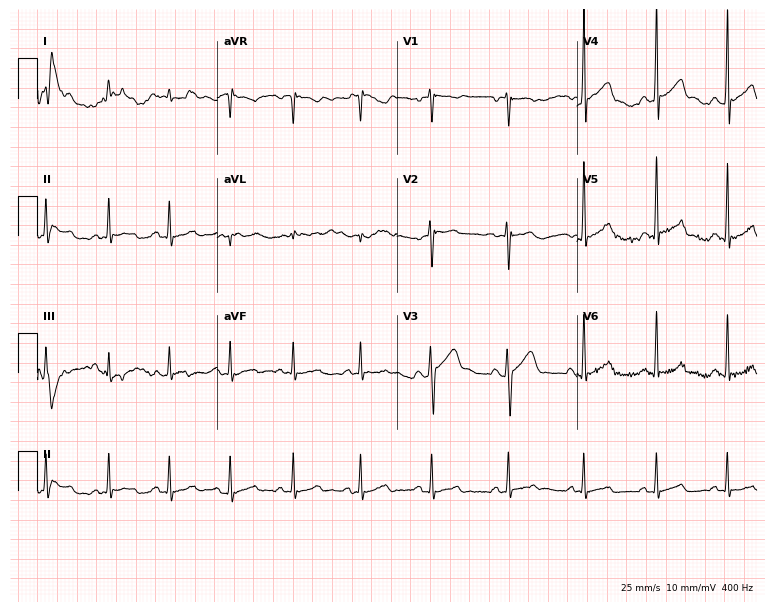
ECG — a male patient, 27 years old. Labelled as a normal ECG.